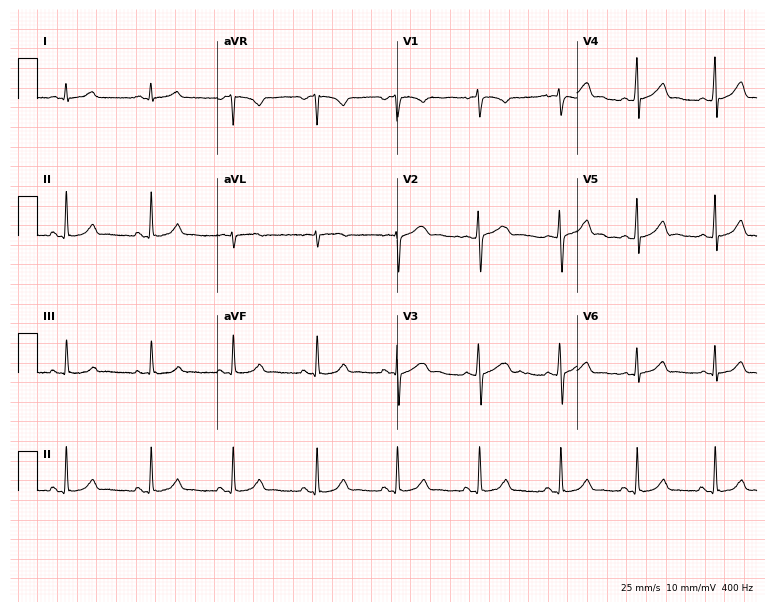
12-lead ECG from a woman, 28 years old (7.3-second recording at 400 Hz). Recorded interpretation: within normal limits.